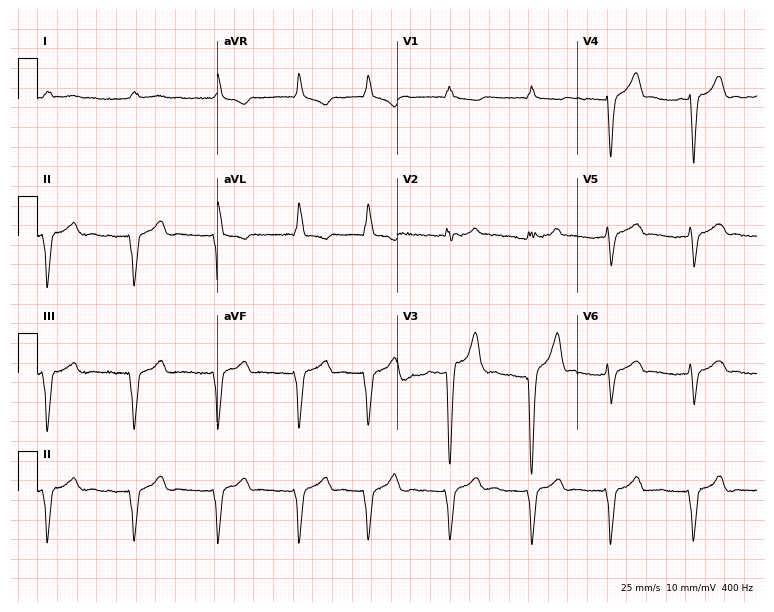
12-lead ECG from a man, 65 years old. Shows right bundle branch block, atrial fibrillation.